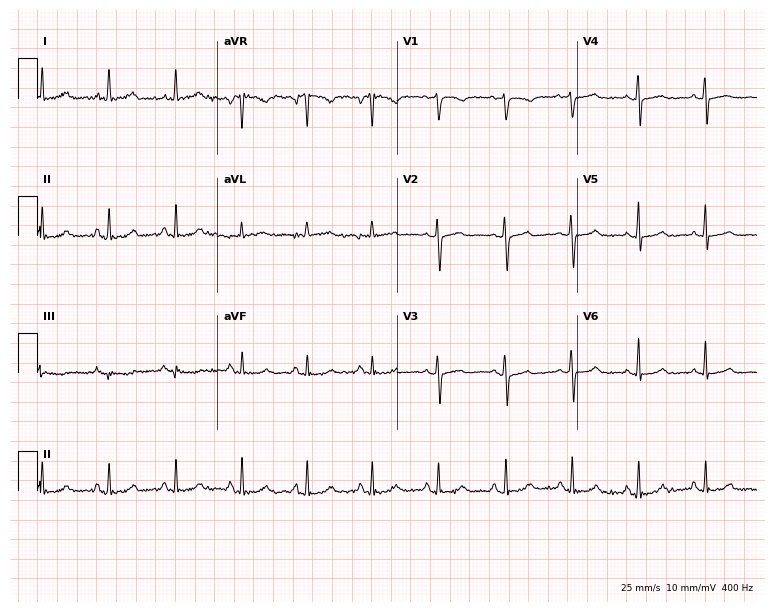
12-lead ECG from a 53-year-old female patient (7.3-second recording at 400 Hz). No first-degree AV block, right bundle branch block, left bundle branch block, sinus bradycardia, atrial fibrillation or sinus tachycardia recorded for this tracing.